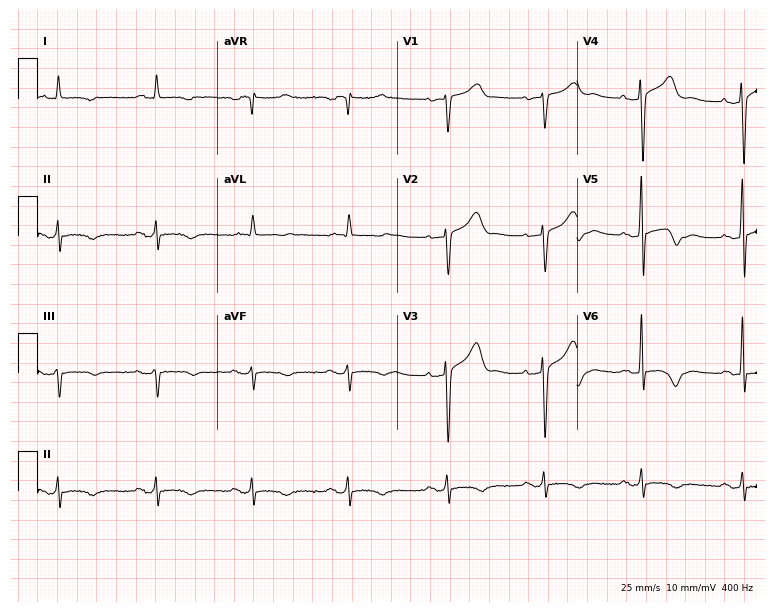
ECG — a male patient, 69 years old. Screened for six findings — first-degree AV block, right bundle branch block, left bundle branch block, sinus bradycardia, atrial fibrillation, sinus tachycardia — none is recorded.